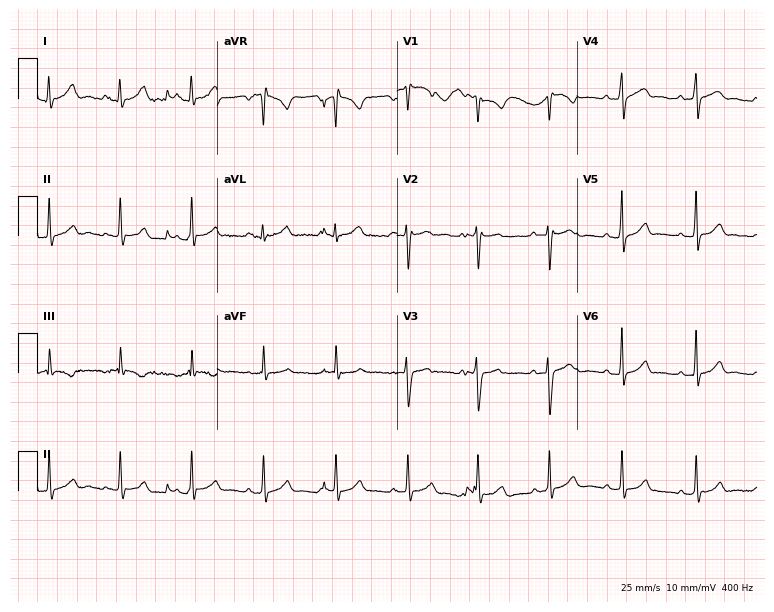
Resting 12-lead electrocardiogram. Patient: a woman, 27 years old. None of these six findings is recorded: first-degree AV block, right bundle branch block (RBBB), left bundle branch block (LBBB), sinus bradycardia, atrial fibrillation (AF), sinus tachycardia. Other findings, if any, are not listed.